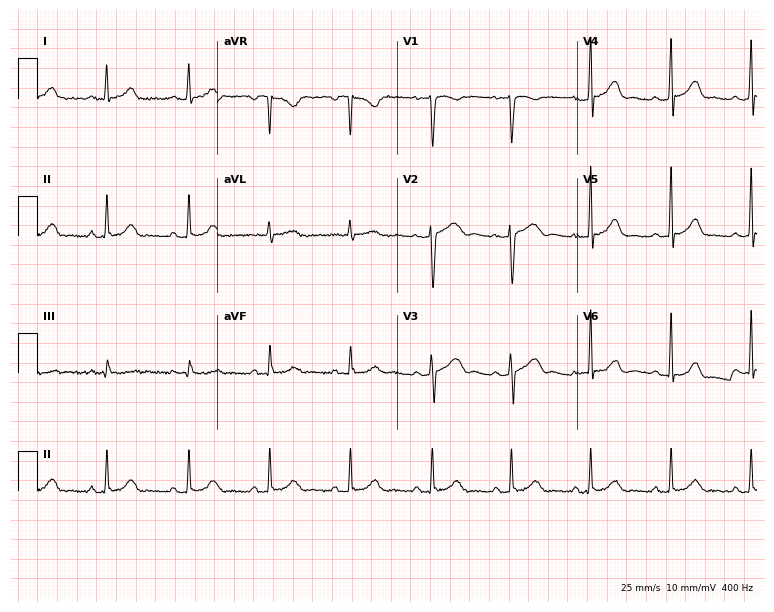
Standard 12-lead ECG recorded from a 40-year-old woman. None of these six findings is recorded: first-degree AV block, right bundle branch block (RBBB), left bundle branch block (LBBB), sinus bradycardia, atrial fibrillation (AF), sinus tachycardia. Only these six findings were labelled.